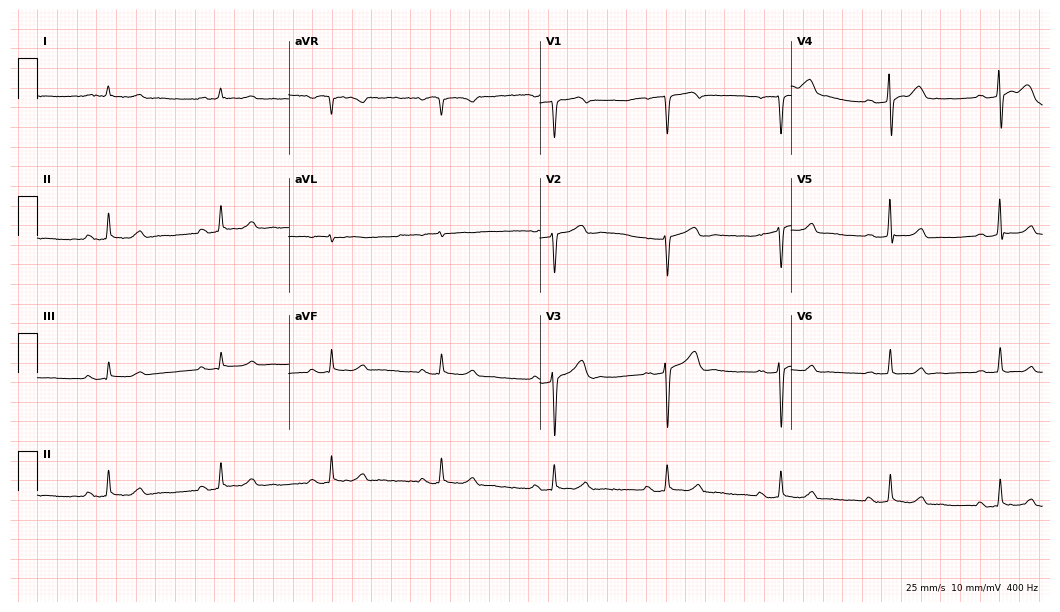
Standard 12-lead ECG recorded from a 42-year-old woman (10.2-second recording at 400 Hz). Read as a normal ECG.